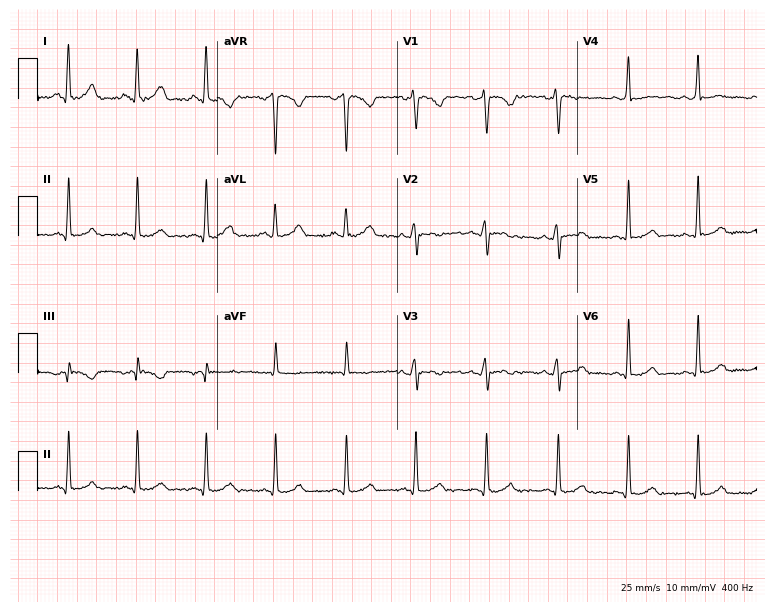
Electrocardiogram (7.3-second recording at 400 Hz), a 25-year-old female. Of the six screened findings (first-degree AV block, right bundle branch block, left bundle branch block, sinus bradycardia, atrial fibrillation, sinus tachycardia), none is recorded. Only these six findings were labelled.